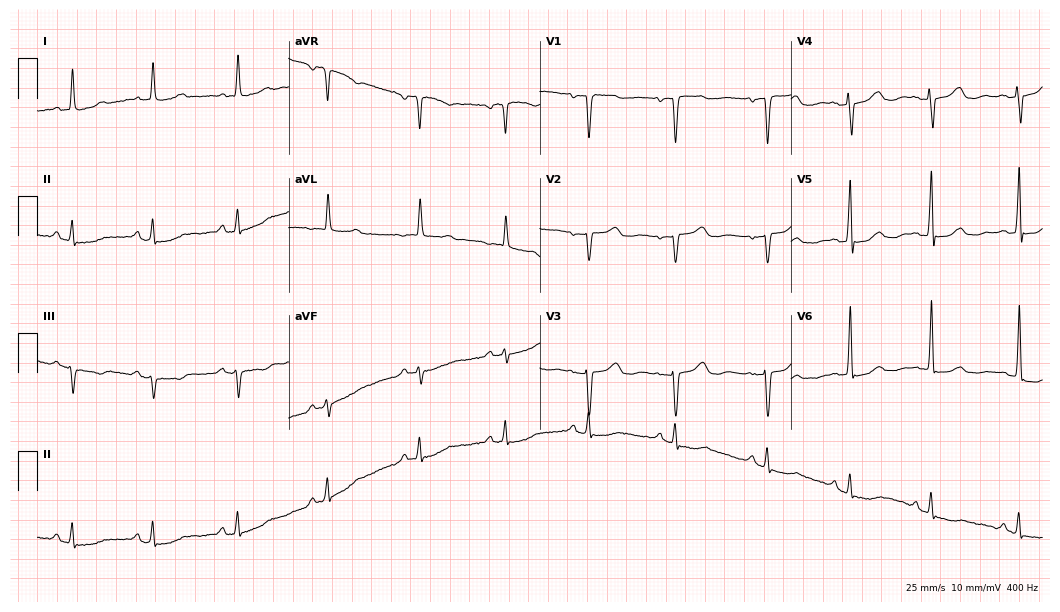
12-lead ECG from a 62-year-old female. No first-degree AV block, right bundle branch block, left bundle branch block, sinus bradycardia, atrial fibrillation or sinus tachycardia recorded for this tracing.